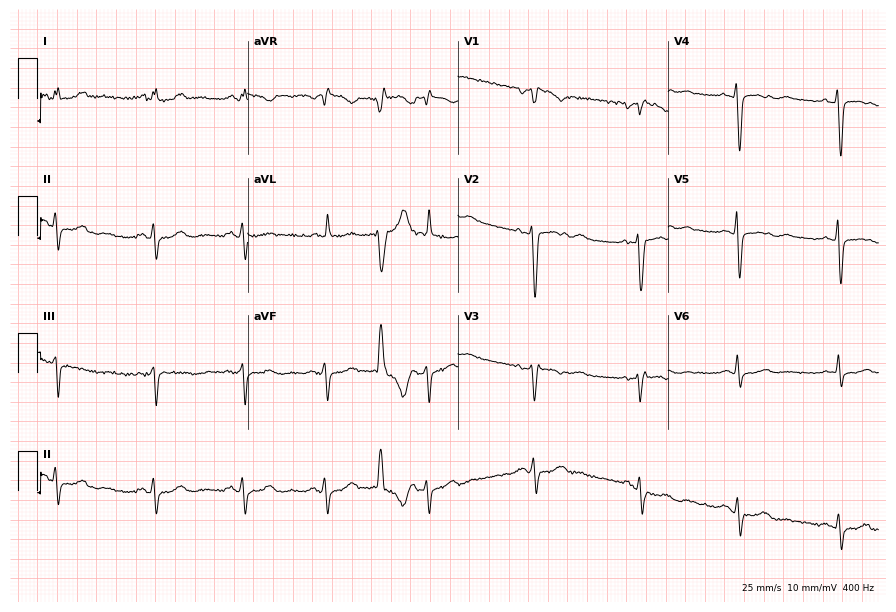
12-lead ECG from a 50-year-old female (8.6-second recording at 400 Hz). No first-degree AV block, right bundle branch block (RBBB), left bundle branch block (LBBB), sinus bradycardia, atrial fibrillation (AF) or sinus tachycardia recorded for this tracing. Only these six findings were labelled.